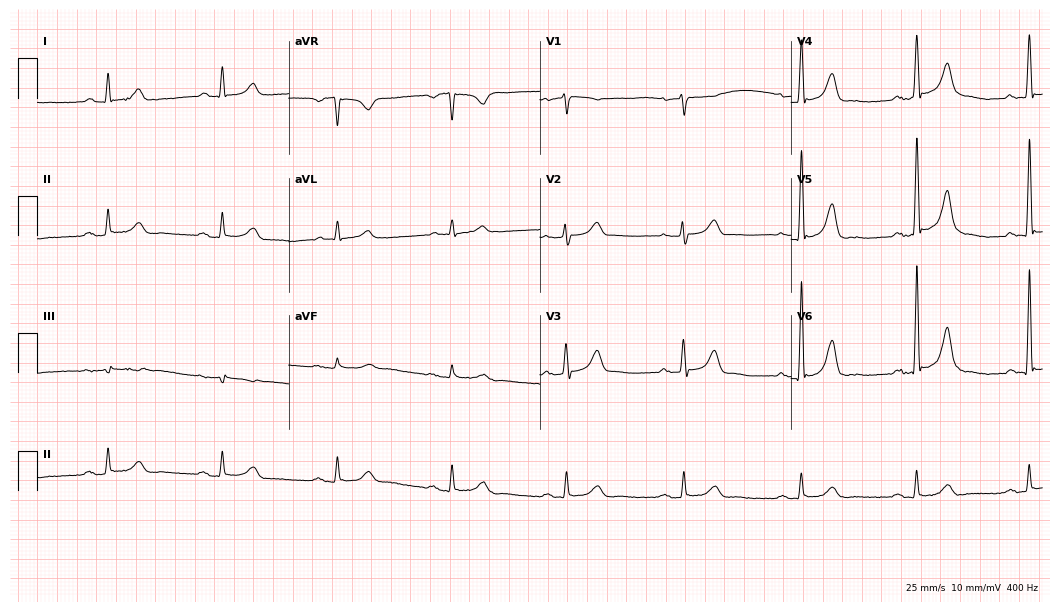
Resting 12-lead electrocardiogram (10.2-second recording at 400 Hz). Patient: a 72-year-old male. Read as a normal ECG.